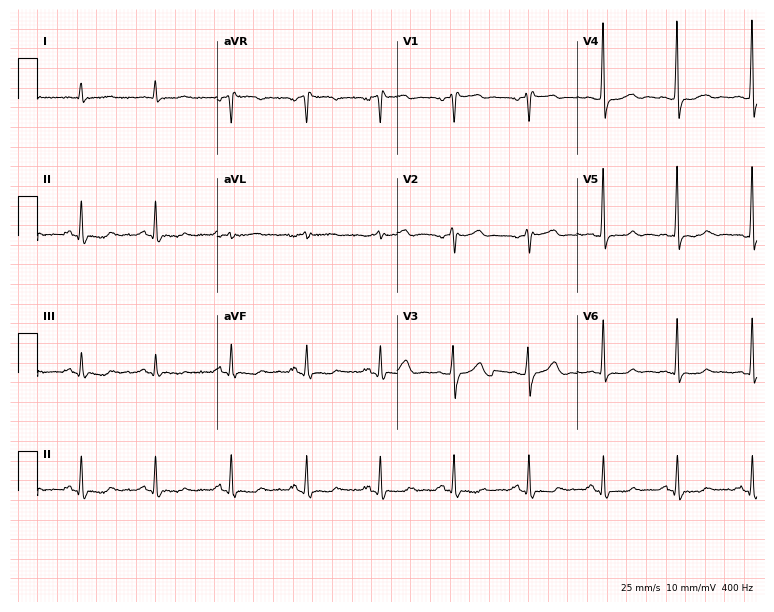
Resting 12-lead electrocardiogram (7.3-second recording at 400 Hz). Patient: a male, 76 years old. None of these six findings is recorded: first-degree AV block, right bundle branch block, left bundle branch block, sinus bradycardia, atrial fibrillation, sinus tachycardia. Other findings, if any, are not listed.